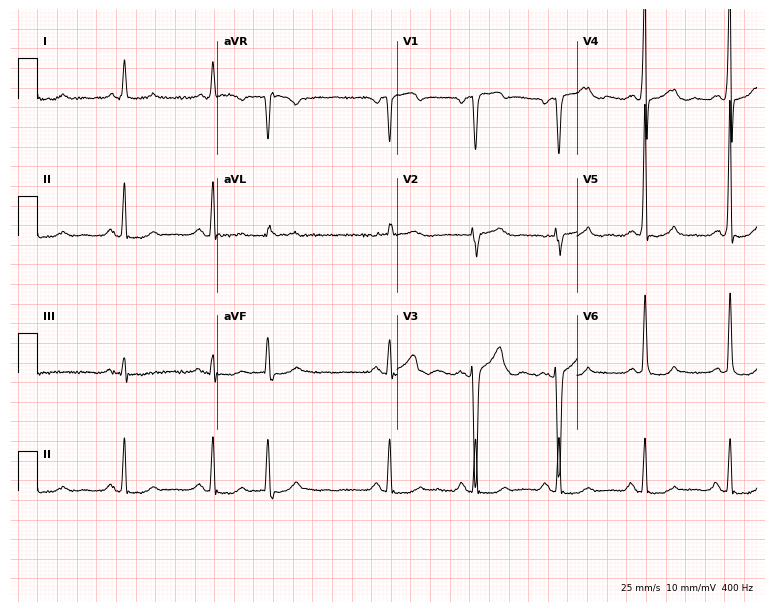
Resting 12-lead electrocardiogram (7.3-second recording at 400 Hz). Patient: a 77-year-old male. None of these six findings is recorded: first-degree AV block, right bundle branch block, left bundle branch block, sinus bradycardia, atrial fibrillation, sinus tachycardia. Only these six findings were labelled.